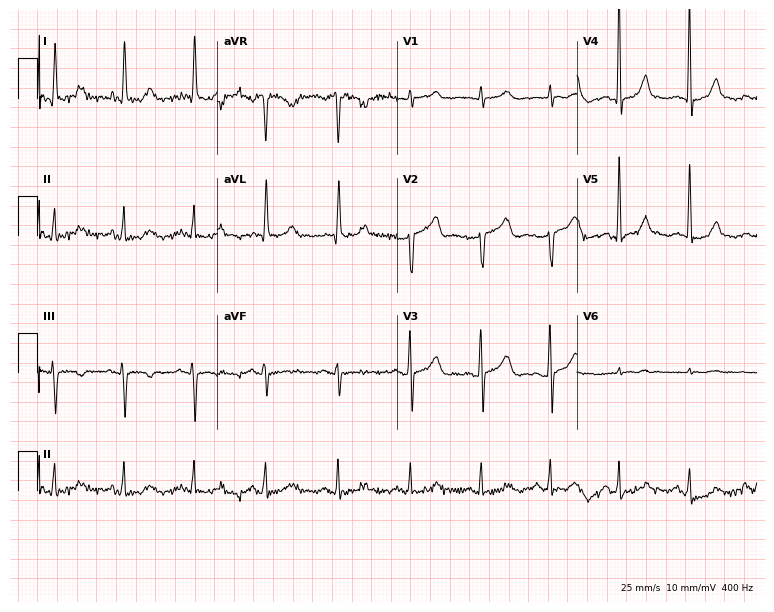
Resting 12-lead electrocardiogram. Patient: a 44-year-old female. None of these six findings is recorded: first-degree AV block, right bundle branch block, left bundle branch block, sinus bradycardia, atrial fibrillation, sinus tachycardia.